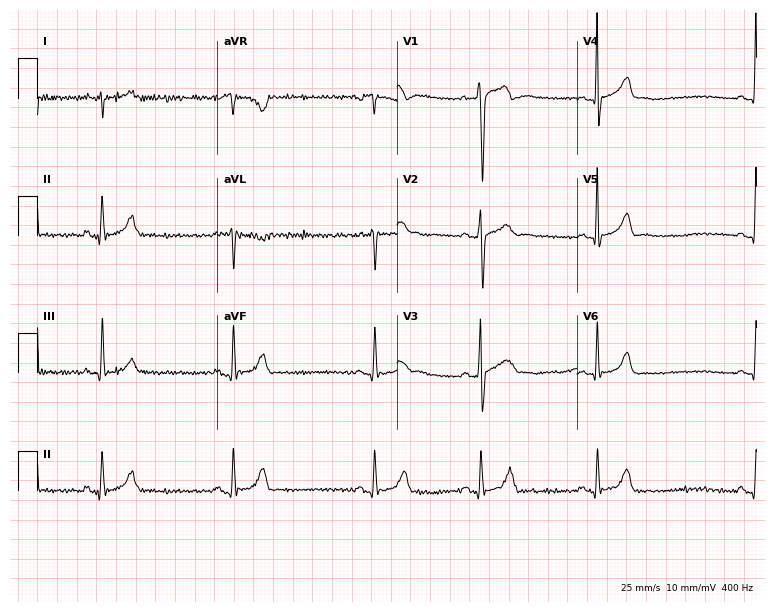
12-lead ECG from an 18-year-old man (7.3-second recording at 400 Hz). No first-degree AV block, right bundle branch block, left bundle branch block, sinus bradycardia, atrial fibrillation or sinus tachycardia recorded for this tracing.